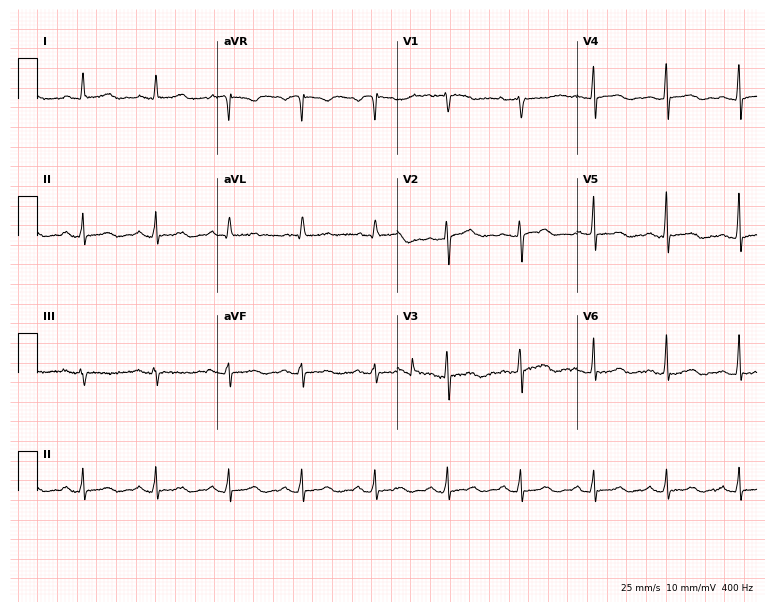
ECG — a 65-year-old female. Screened for six findings — first-degree AV block, right bundle branch block, left bundle branch block, sinus bradycardia, atrial fibrillation, sinus tachycardia — none is recorded.